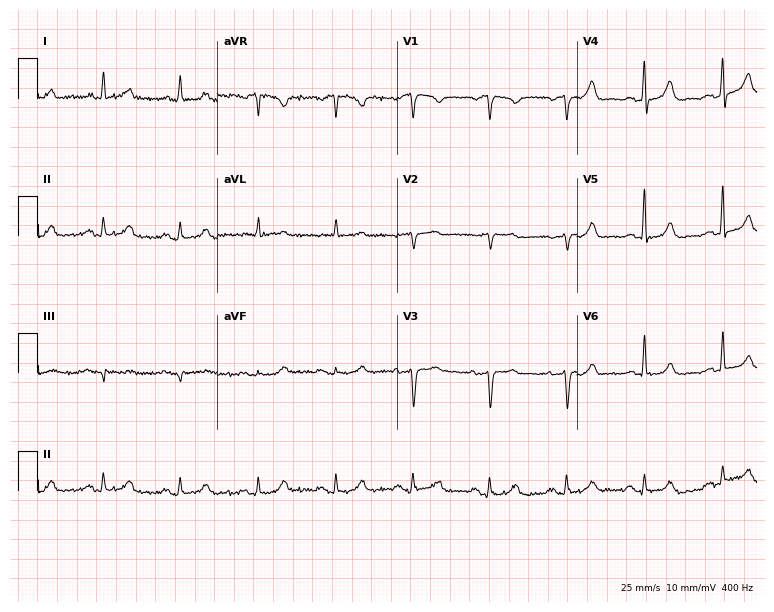
Standard 12-lead ECG recorded from a female, 67 years old (7.3-second recording at 400 Hz). None of these six findings is recorded: first-degree AV block, right bundle branch block, left bundle branch block, sinus bradycardia, atrial fibrillation, sinus tachycardia.